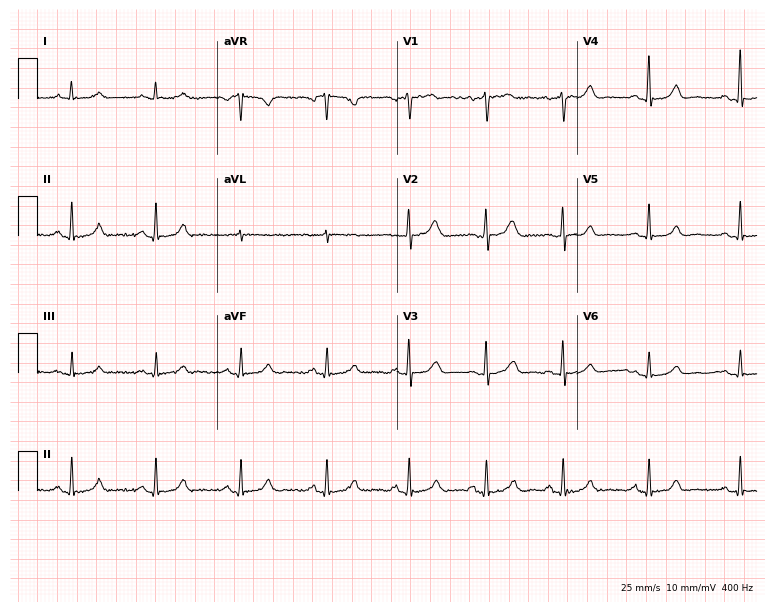
Resting 12-lead electrocardiogram (7.3-second recording at 400 Hz). Patient: a 51-year-old woman. Read as a normal ECG.